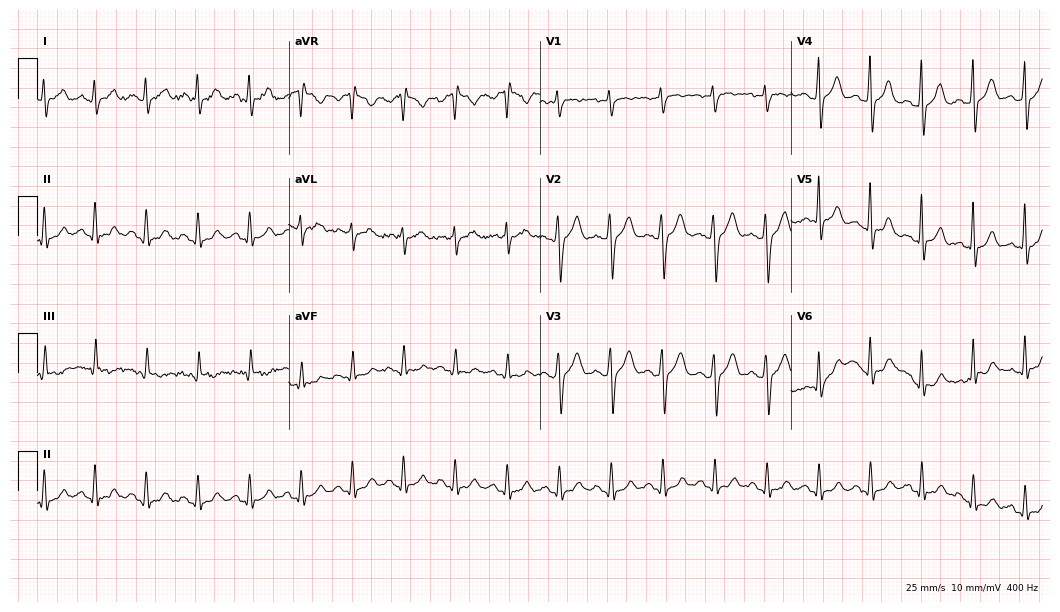
Standard 12-lead ECG recorded from a 26-year-old male. The tracing shows sinus tachycardia (a sinus rate of 100 beats per minute or more).